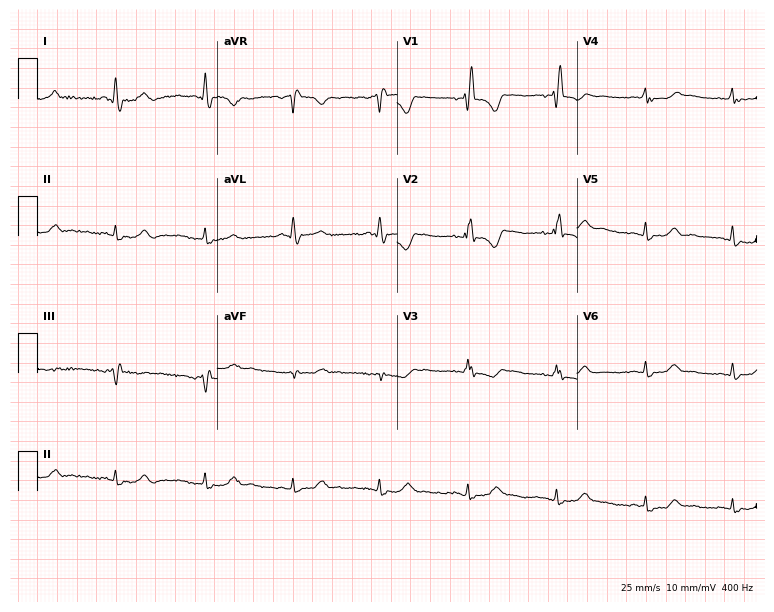
12-lead ECG (7.3-second recording at 400 Hz) from a female, 56 years old. Findings include right bundle branch block.